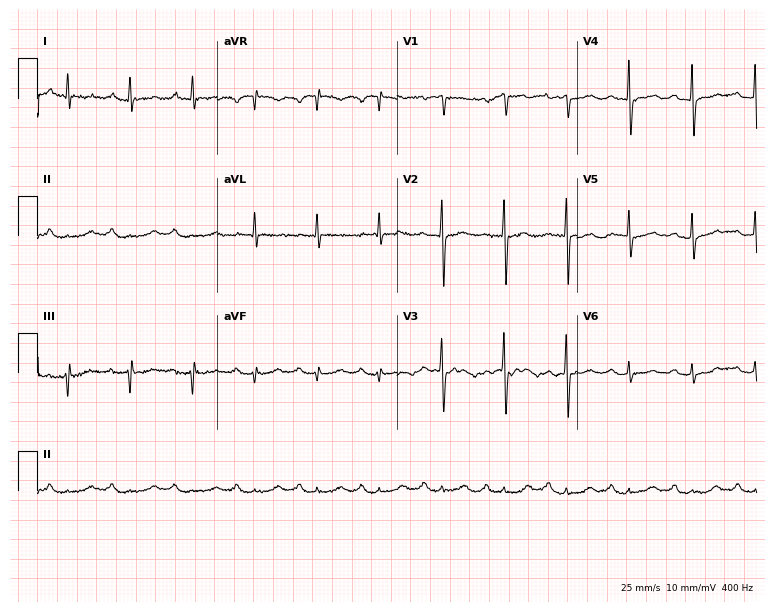
ECG (7.3-second recording at 400 Hz) — an 80-year-old female patient. Screened for six findings — first-degree AV block, right bundle branch block, left bundle branch block, sinus bradycardia, atrial fibrillation, sinus tachycardia — none is recorded.